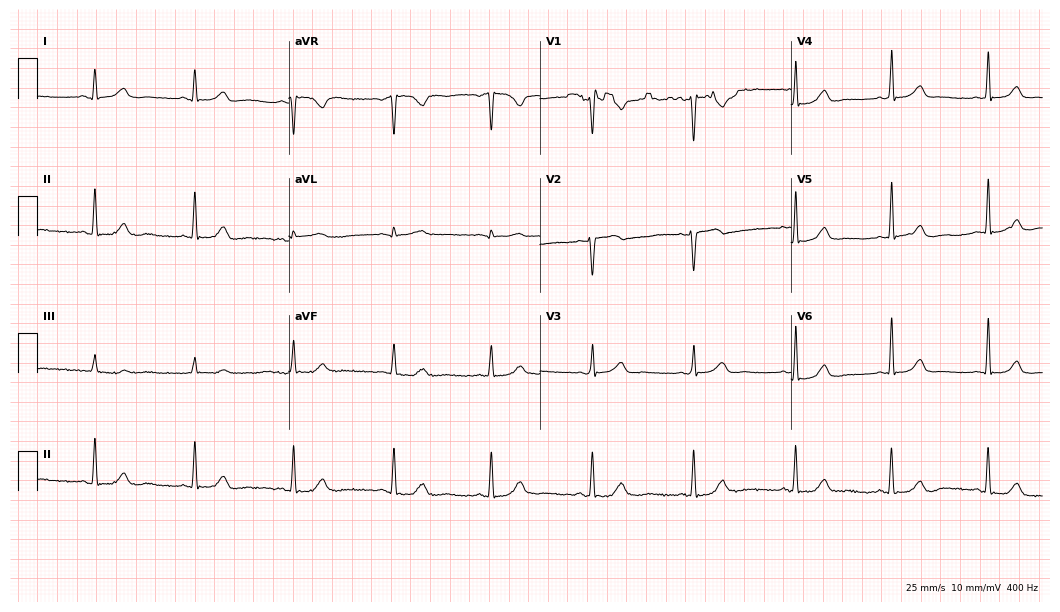
Standard 12-lead ECG recorded from a 30-year-old female (10.2-second recording at 400 Hz). None of these six findings is recorded: first-degree AV block, right bundle branch block, left bundle branch block, sinus bradycardia, atrial fibrillation, sinus tachycardia. Only these six findings were labelled.